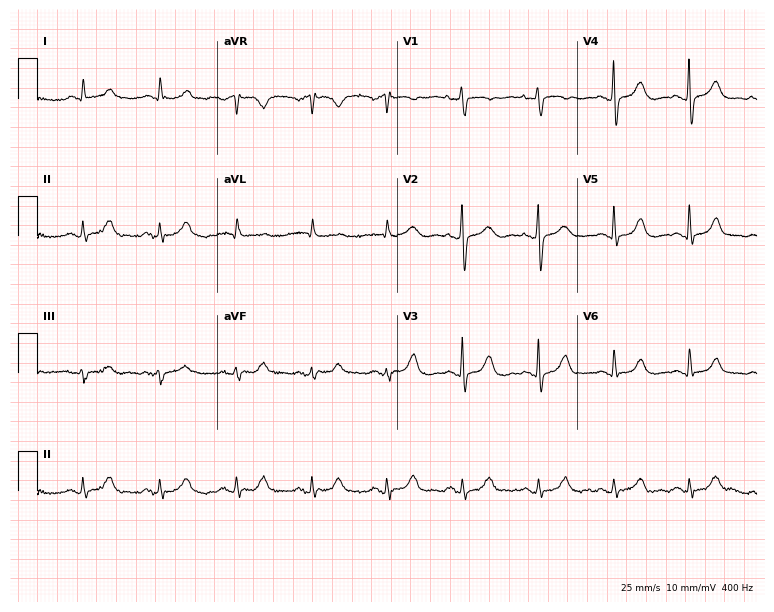
12-lead ECG from a 75-year-old female patient (7.3-second recording at 400 Hz). Recorded interpretation: within normal limits.